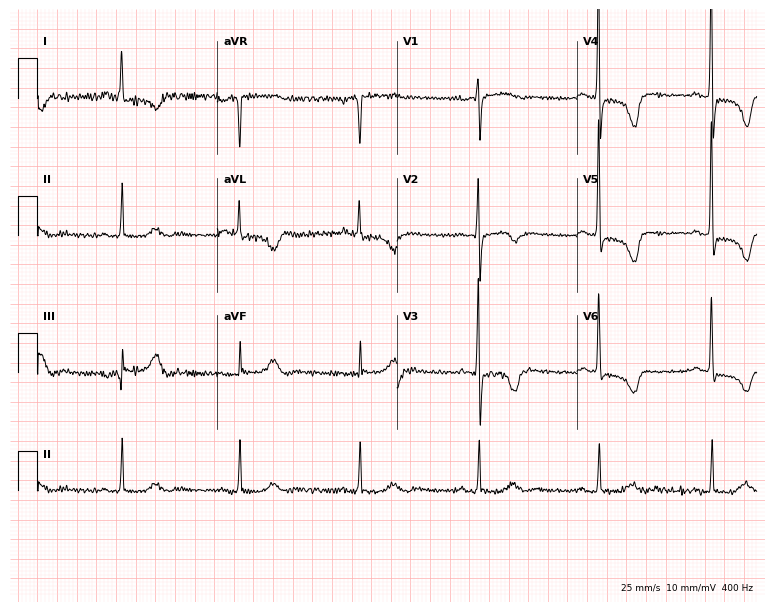
Electrocardiogram, a woman, 69 years old. Of the six screened findings (first-degree AV block, right bundle branch block (RBBB), left bundle branch block (LBBB), sinus bradycardia, atrial fibrillation (AF), sinus tachycardia), none is recorded.